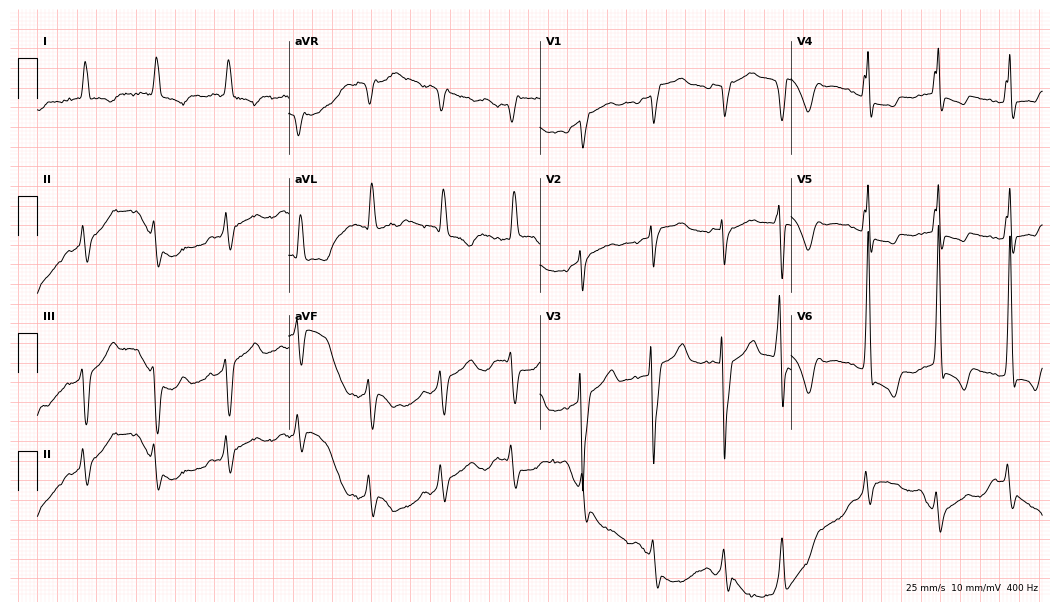
12-lead ECG from a male patient, 85 years old. Screened for six findings — first-degree AV block, right bundle branch block (RBBB), left bundle branch block (LBBB), sinus bradycardia, atrial fibrillation (AF), sinus tachycardia — none is recorded. Findings outside these six are not listed.